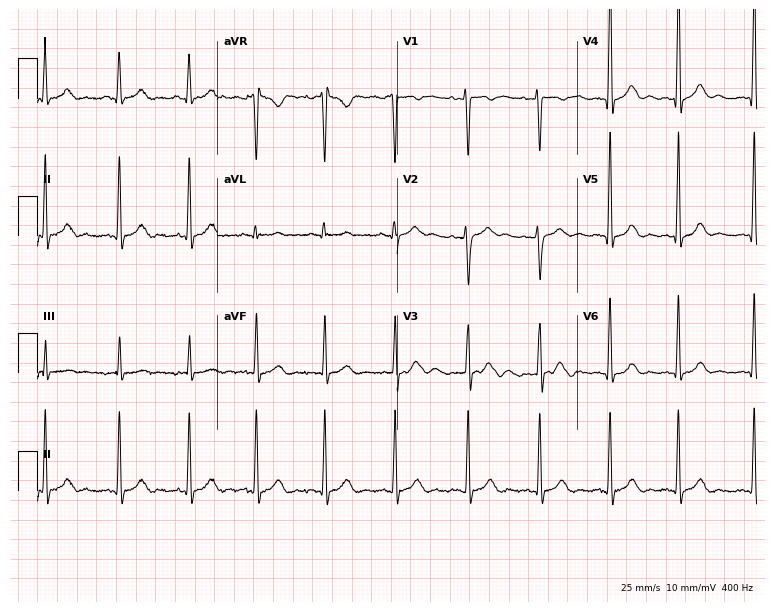
Resting 12-lead electrocardiogram. Patient: a 26-year-old woman. Read as a normal ECG.